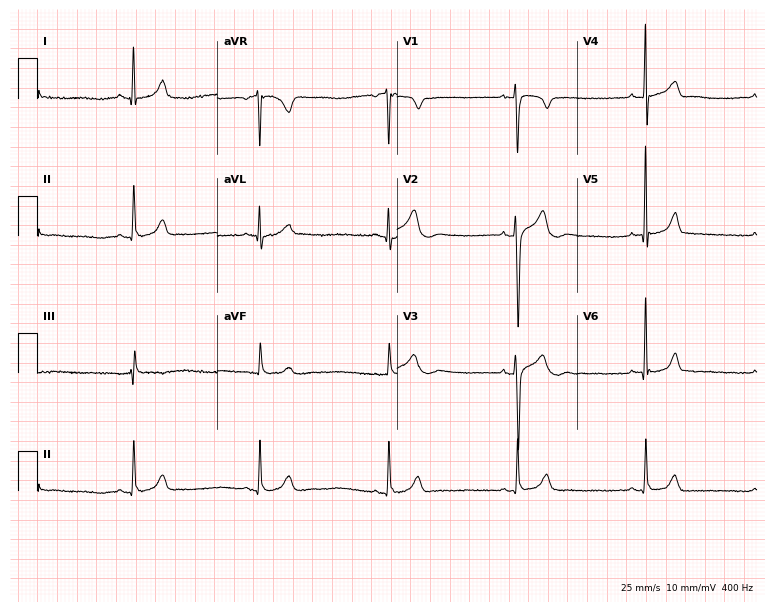
Electrocardiogram, a 40-year-old male. Interpretation includes sinus bradycardia (a sinus rate of 50 beats per minute or less).